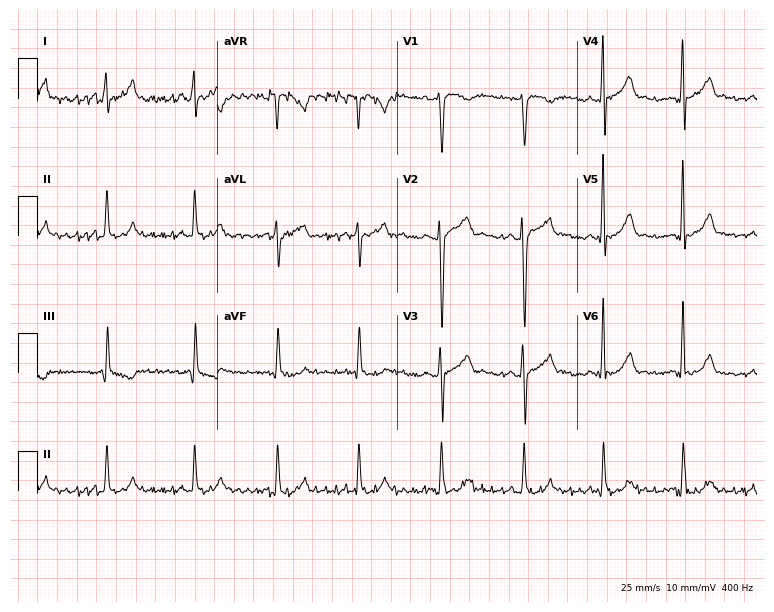
12-lead ECG (7.3-second recording at 400 Hz) from a 34-year-old male patient. Screened for six findings — first-degree AV block, right bundle branch block (RBBB), left bundle branch block (LBBB), sinus bradycardia, atrial fibrillation (AF), sinus tachycardia — none is recorded.